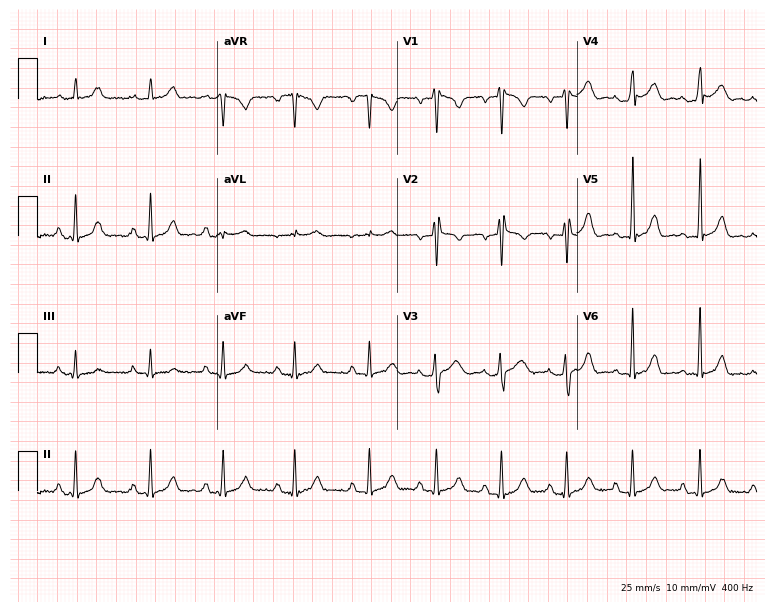
Standard 12-lead ECG recorded from a female, 31 years old. Read as a normal ECG.